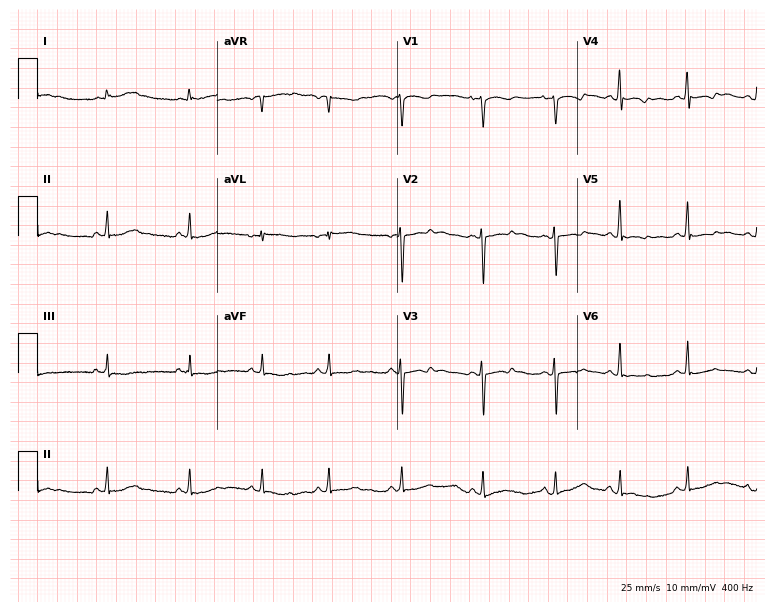
ECG (7.3-second recording at 400 Hz) — a 19-year-old woman. Screened for six findings — first-degree AV block, right bundle branch block, left bundle branch block, sinus bradycardia, atrial fibrillation, sinus tachycardia — none is recorded. Findings outside these six are not listed.